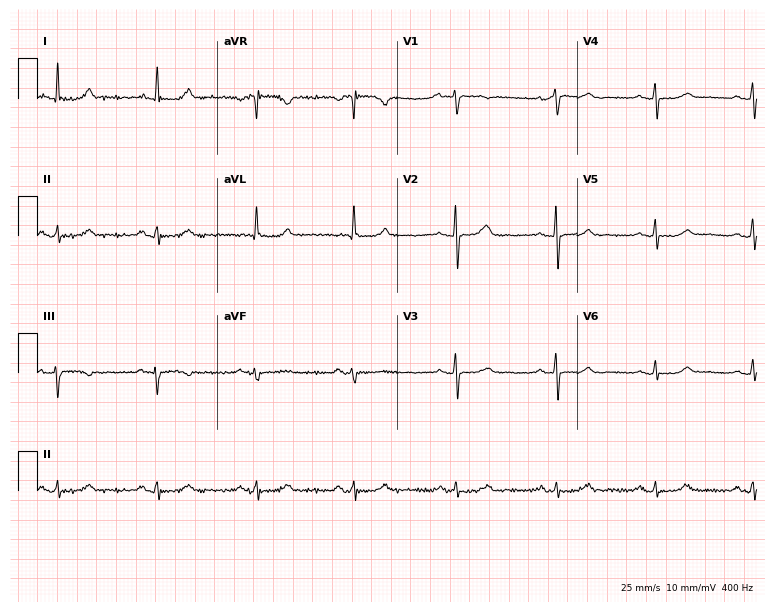
12-lead ECG from an 82-year-old female patient (7.3-second recording at 400 Hz). Recorded interpretation: within normal limits.